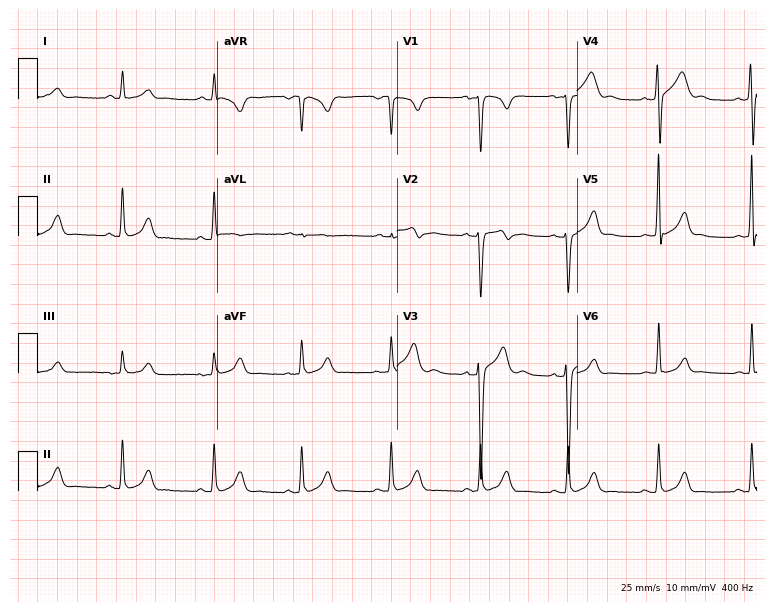
Standard 12-lead ECG recorded from a 17-year-old male. None of these six findings is recorded: first-degree AV block, right bundle branch block (RBBB), left bundle branch block (LBBB), sinus bradycardia, atrial fibrillation (AF), sinus tachycardia.